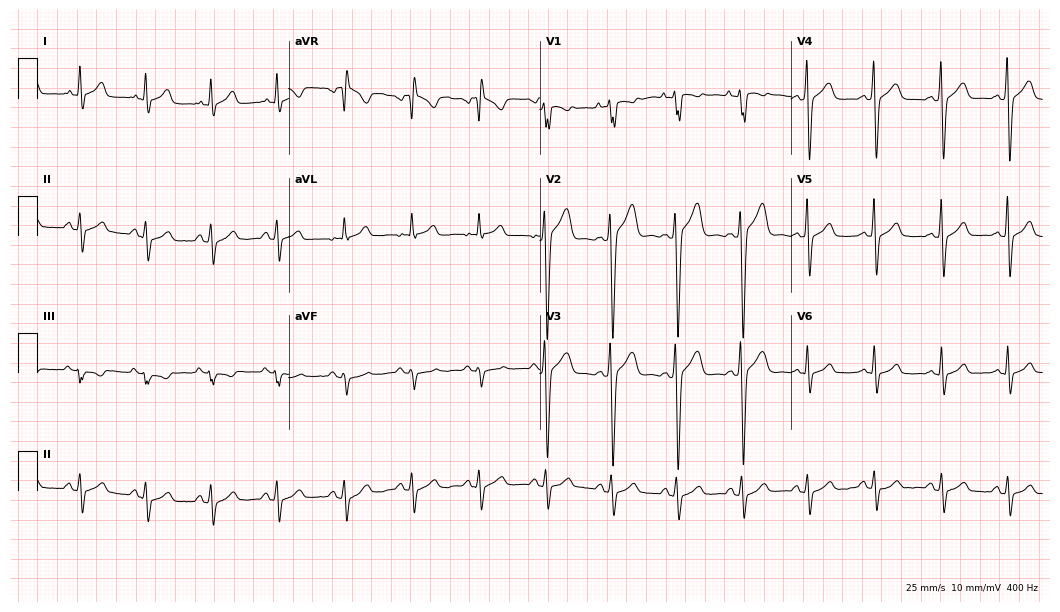
12-lead ECG from a 20-year-old man. No first-degree AV block, right bundle branch block (RBBB), left bundle branch block (LBBB), sinus bradycardia, atrial fibrillation (AF) or sinus tachycardia recorded for this tracing. Only these six findings were labelled.